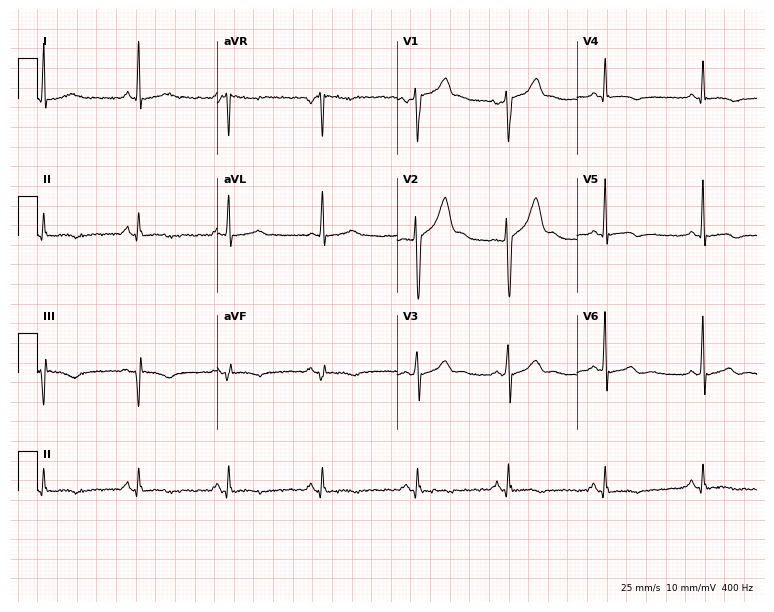
Electrocardiogram, a male, 38 years old. Of the six screened findings (first-degree AV block, right bundle branch block (RBBB), left bundle branch block (LBBB), sinus bradycardia, atrial fibrillation (AF), sinus tachycardia), none is recorded.